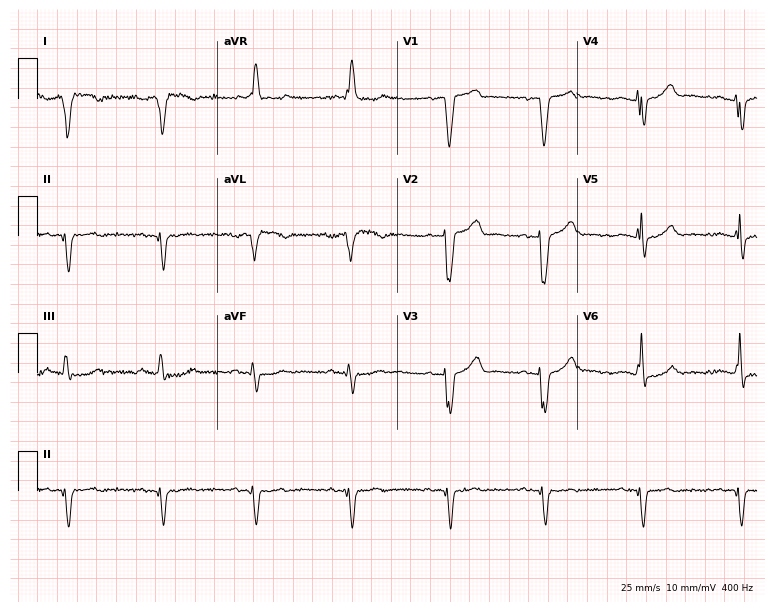
12-lead ECG from a male patient, 57 years old. No first-degree AV block, right bundle branch block, left bundle branch block, sinus bradycardia, atrial fibrillation or sinus tachycardia recorded for this tracing.